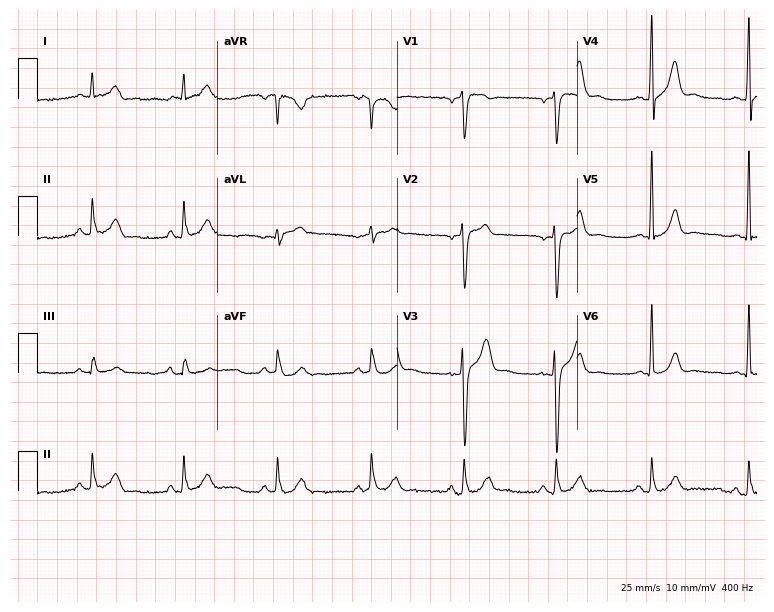
12-lead ECG from a 52-year-old male patient. Labelled as a normal ECG.